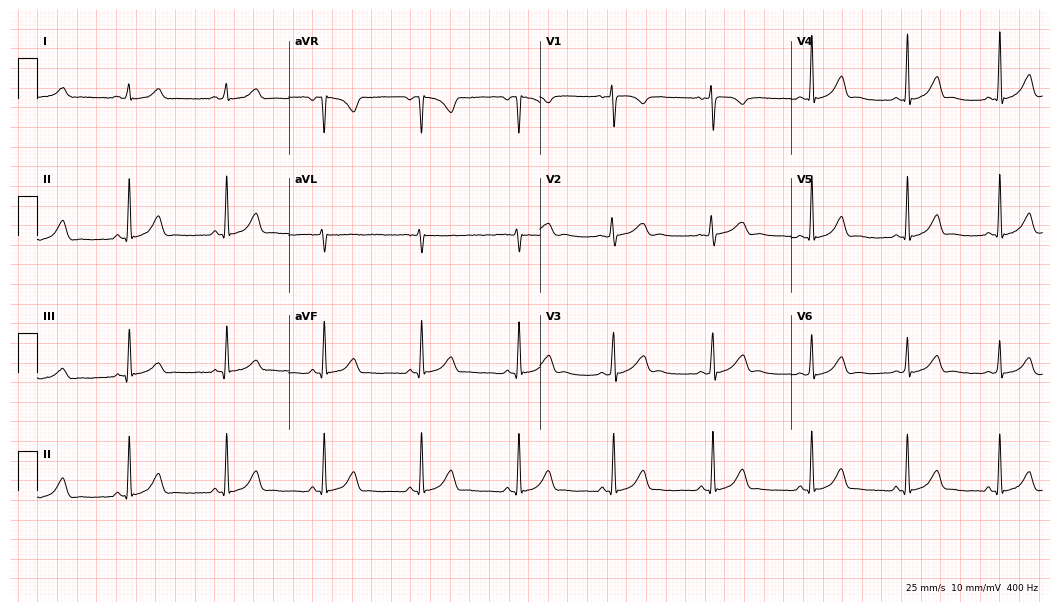
Resting 12-lead electrocardiogram (10.2-second recording at 400 Hz). Patient: a 29-year-old female. Read as a normal ECG.